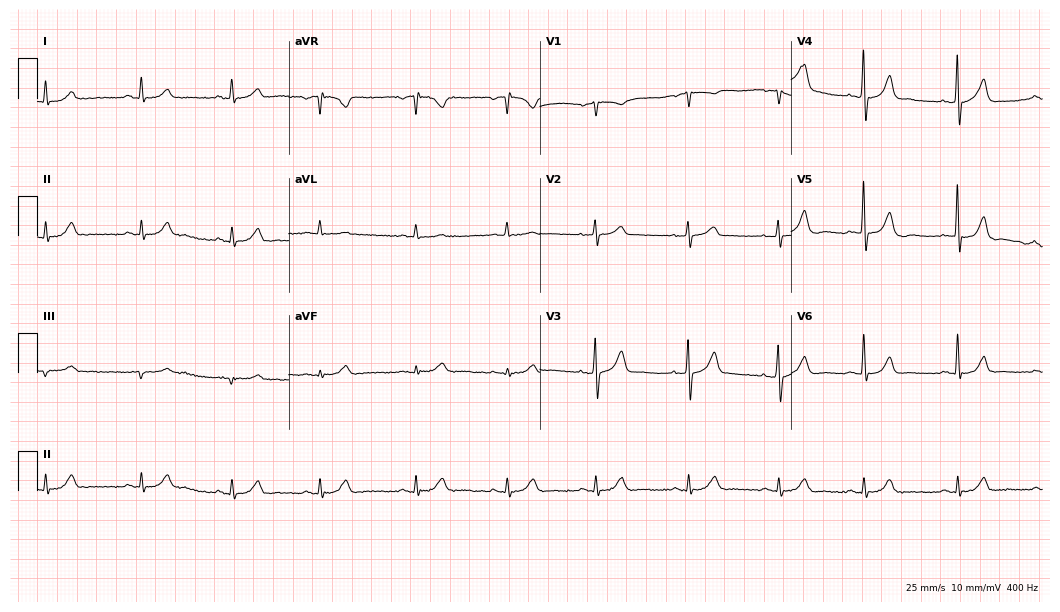
12-lead ECG from a male patient, 66 years old. No first-degree AV block, right bundle branch block (RBBB), left bundle branch block (LBBB), sinus bradycardia, atrial fibrillation (AF) or sinus tachycardia recorded for this tracing. Other findings, if any, are not listed.